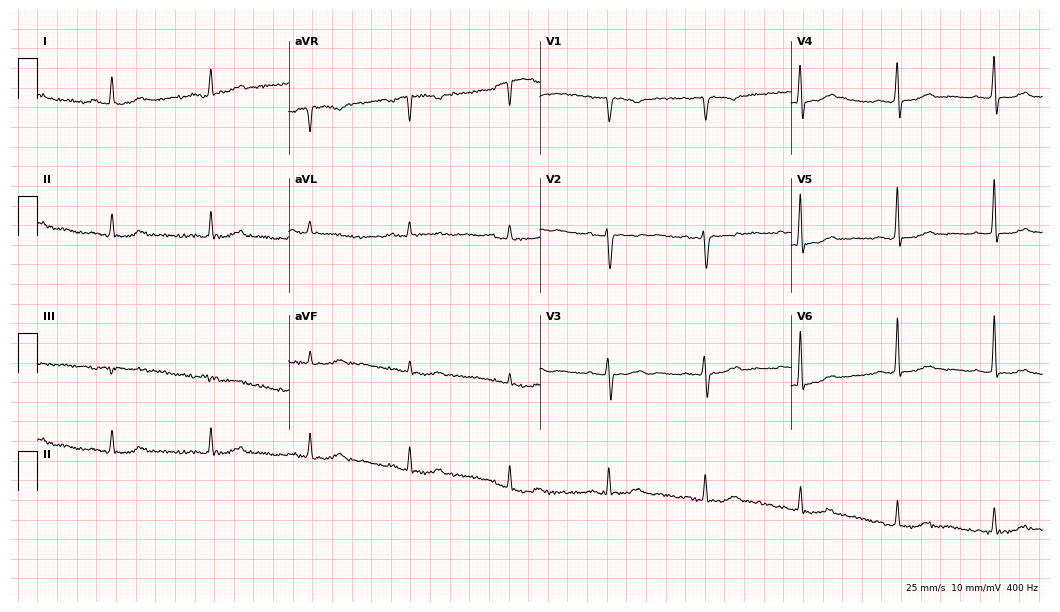
12-lead ECG from a woman, 69 years old (10.2-second recording at 400 Hz). No first-degree AV block, right bundle branch block (RBBB), left bundle branch block (LBBB), sinus bradycardia, atrial fibrillation (AF) or sinus tachycardia recorded for this tracing.